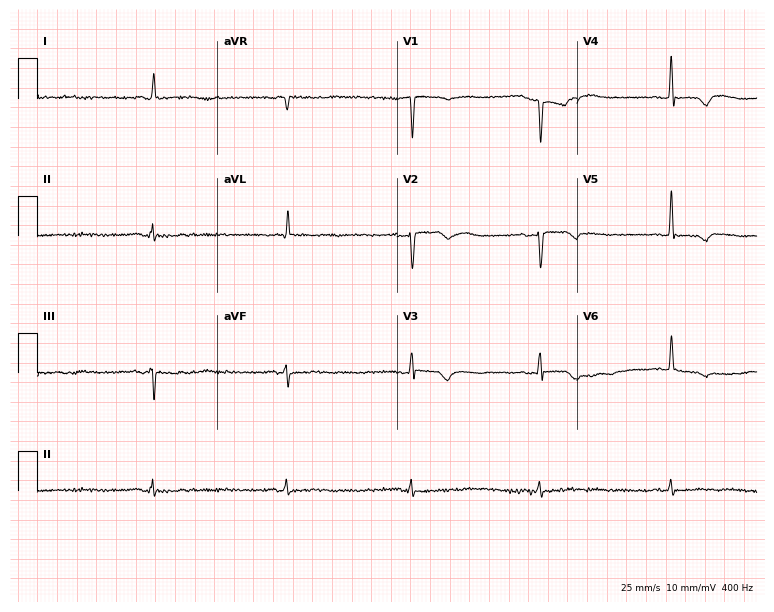
12-lead ECG from a female patient, 61 years old (7.3-second recording at 400 Hz). Shows sinus bradycardia (a sinus rate of 50 beats per minute or less).